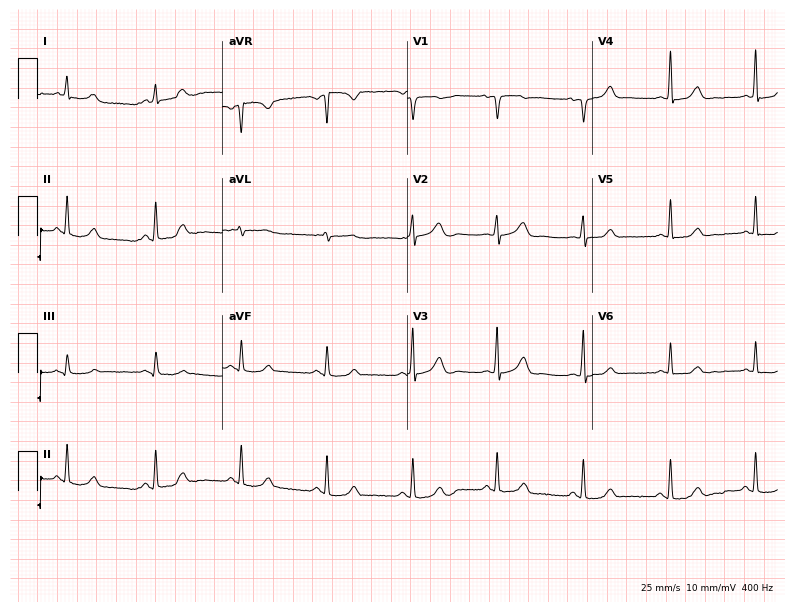
ECG (7.5-second recording at 400 Hz) — a 38-year-old female patient. Labelled as a normal ECG.